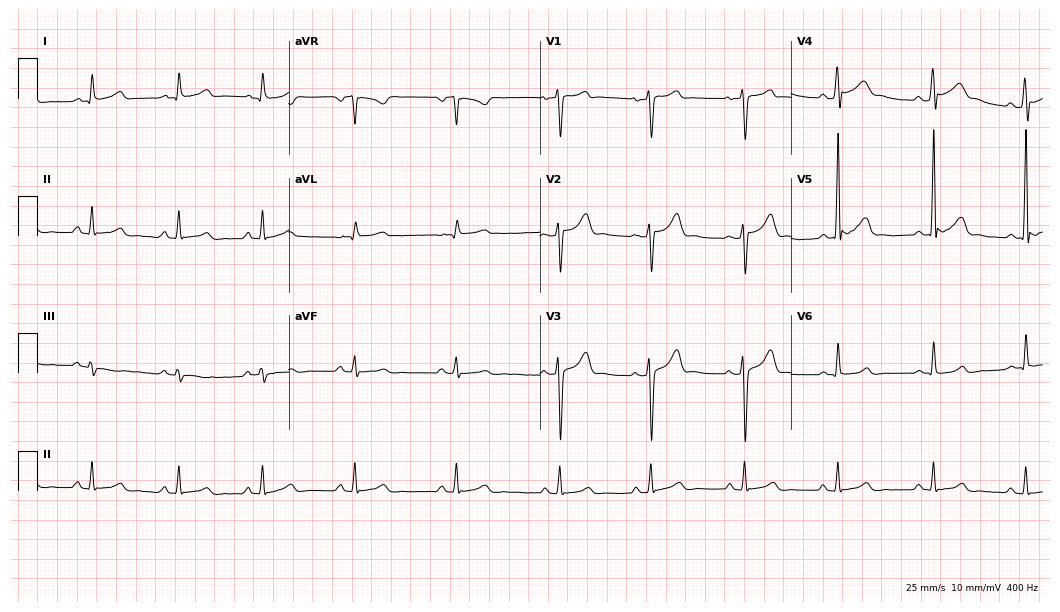
Electrocardiogram, a male patient, 36 years old. Overall reading on record: normal ECG.